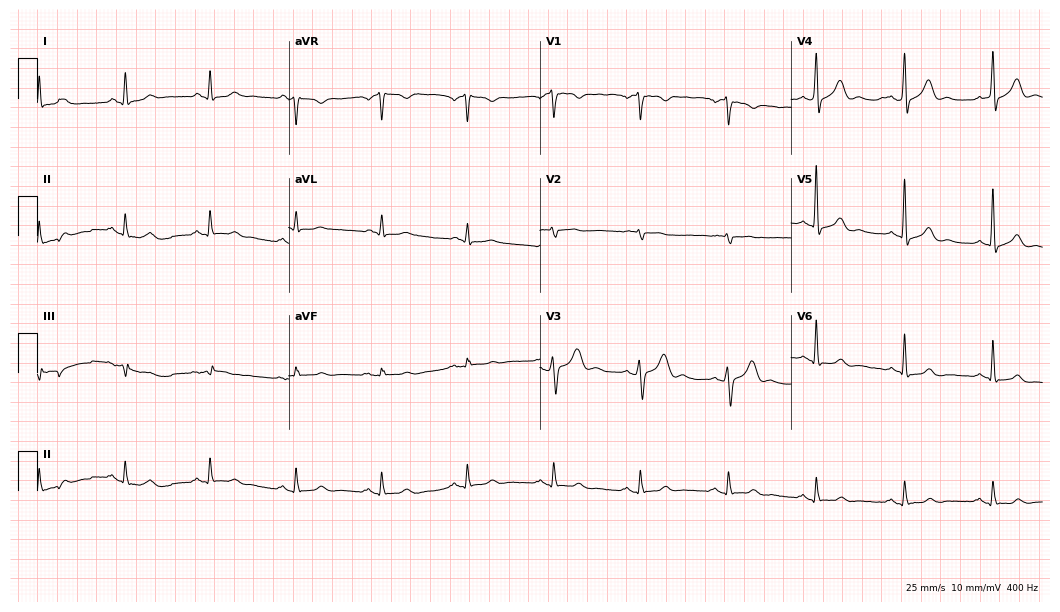
Electrocardiogram, a male patient, 61 years old. Of the six screened findings (first-degree AV block, right bundle branch block (RBBB), left bundle branch block (LBBB), sinus bradycardia, atrial fibrillation (AF), sinus tachycardia), none is recorded. Only these six findings were labelled.